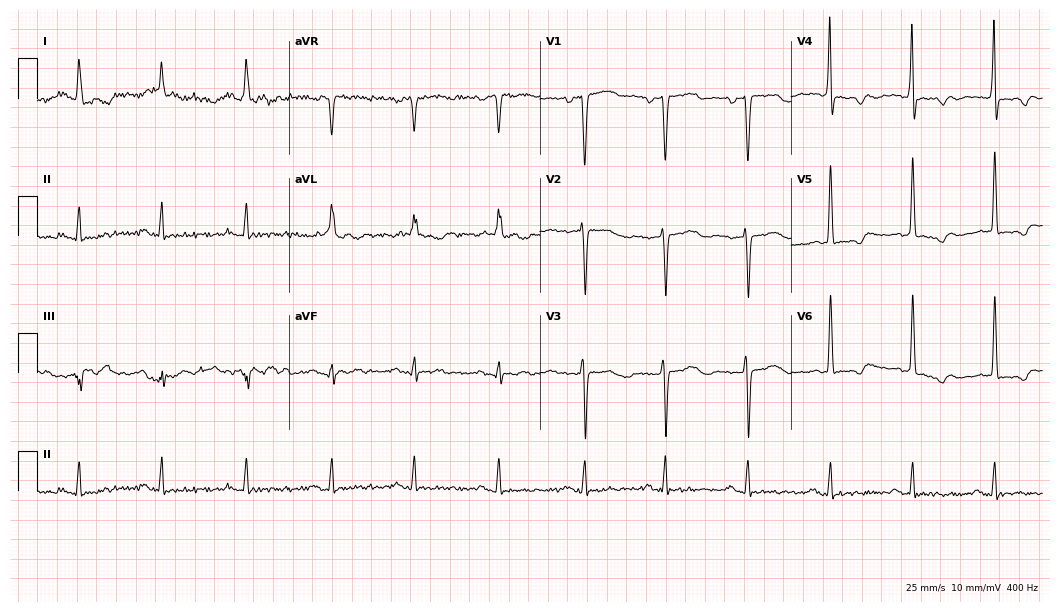
12-lead ECG from a 79-year-old female (10.2-second recording at 400 Hz). No first-degree AV block, right bundle branch block, left bundle branch block, sinus bradycardia, atrial fibrillation or sinus tachycardia recorded for this tracing. Other findings, if any, are not listed.